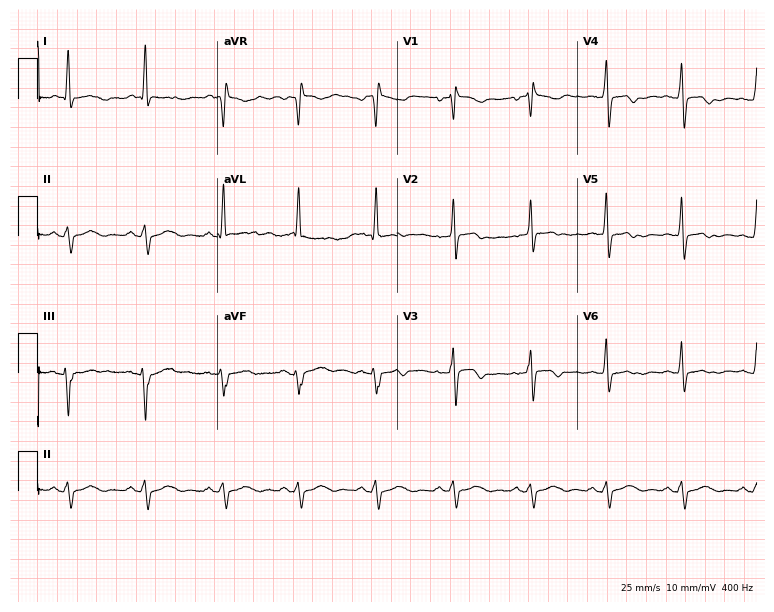
Standard 12-lead ECG recorded from a female, 68 years old. None of these six findings is recorded: first-degree AV block, right bundle branch block, left bundle branch block, sinus bradycardia, atrial fibrillation, sinus tachycardia. Findings outside these six are not listed.